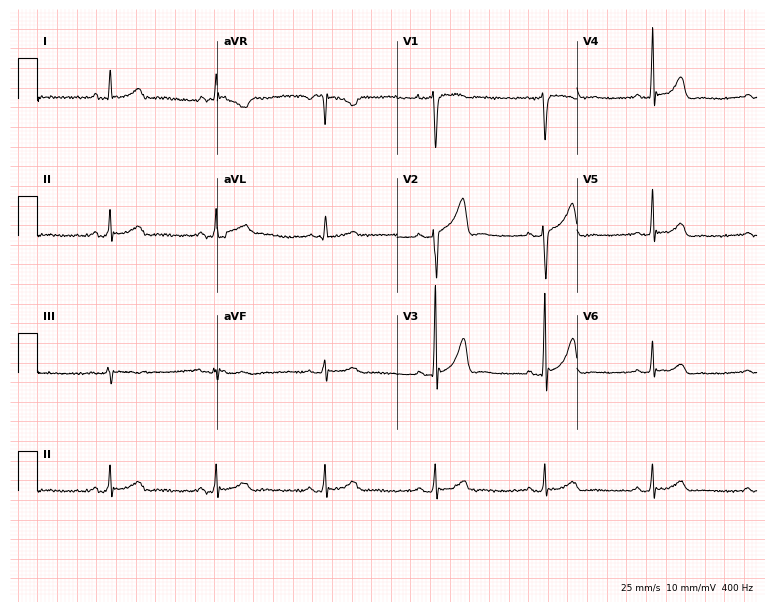
Electrocardiogram (7.3-second recording at 400 Hz), a man, 40 years old. Overall reading on record: normal ECG.